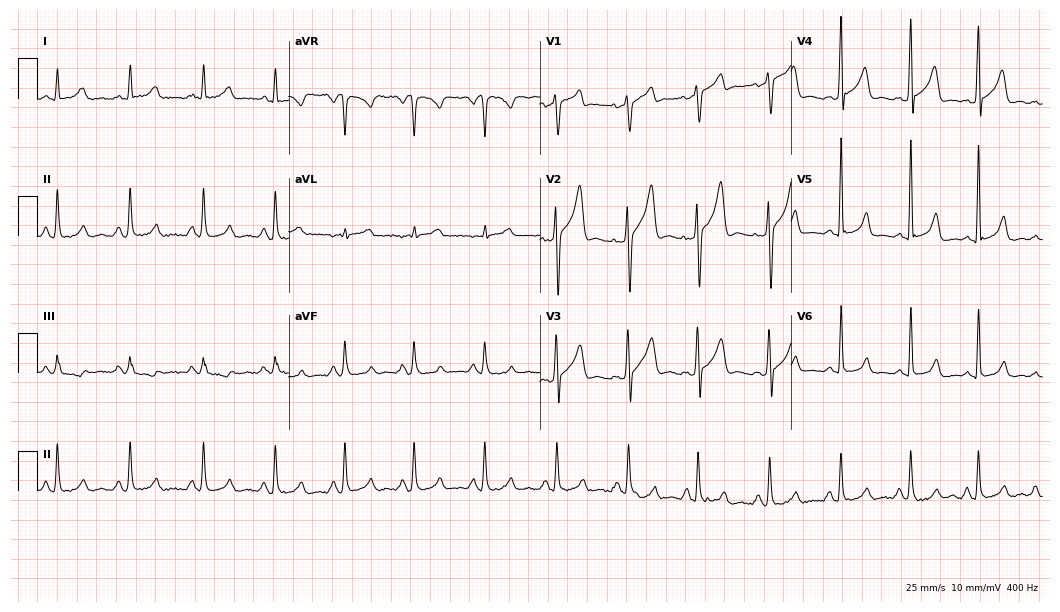
Resting 12-lead electrocardiogram (10.2-second recording at 400 Hz). Patient: a male, 46 years old. None of these six findings is recorded: first-degree AV block, right bundle branch block, left bundle branch block, sinus bradycardia, atrial fibrillation, sinus tachycardia. Findings outside these six are not listed.